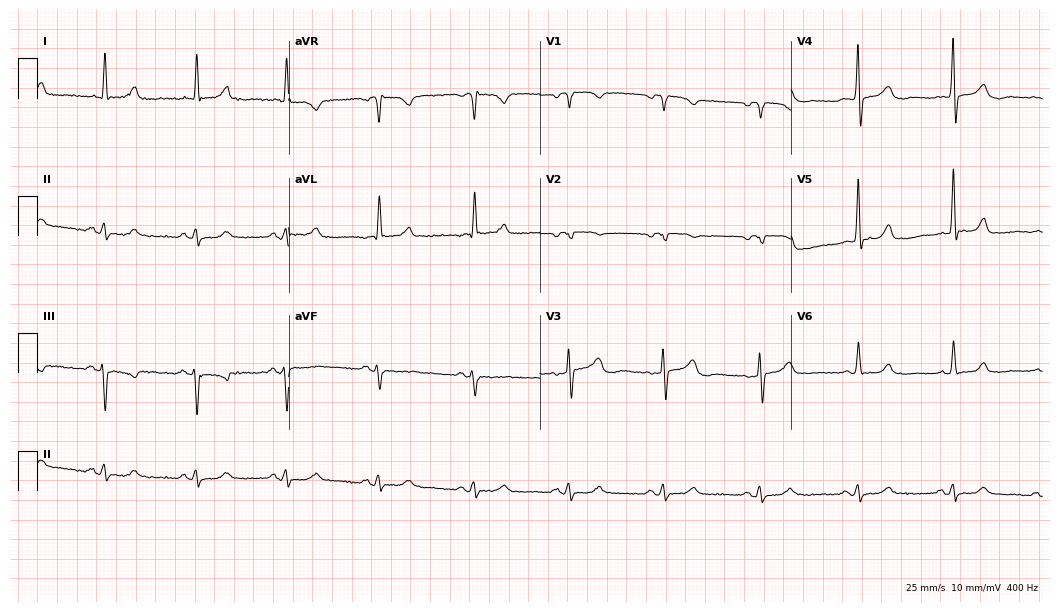
ECG (10.2-second recording at 400 Hz) — an 85-year-old female patient. Screened for six findings — first-degree AV block, right bundle branch block (RBBB), left bundle branch block (LBBB), sinus bradycardia, atrial fibrillation (AF), sinus tachycardia — none is recorded.